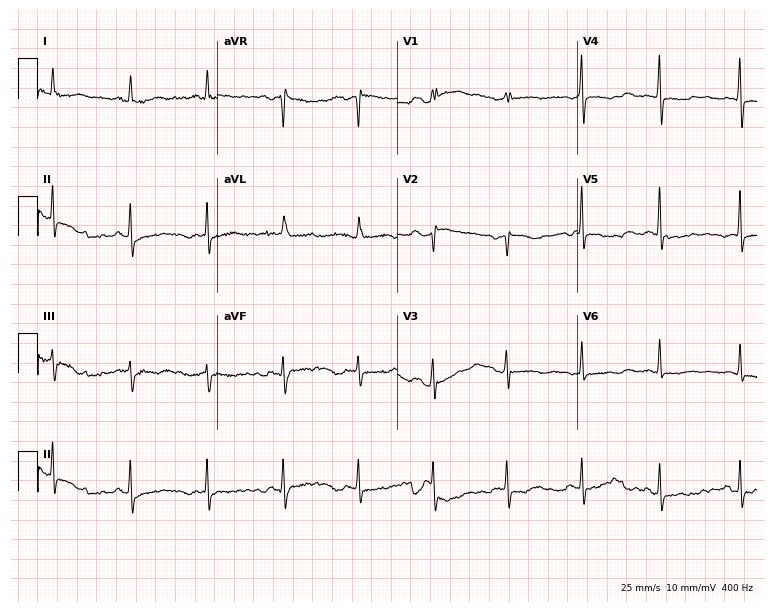
Electrocardiogram, a female, 54 years old. Of the six screened findings (first-degree AV block, right bundle branch block, left bundle branch block, sinus bradycardia, atrial fibrillation, sinus tachycardia), none is recorded.